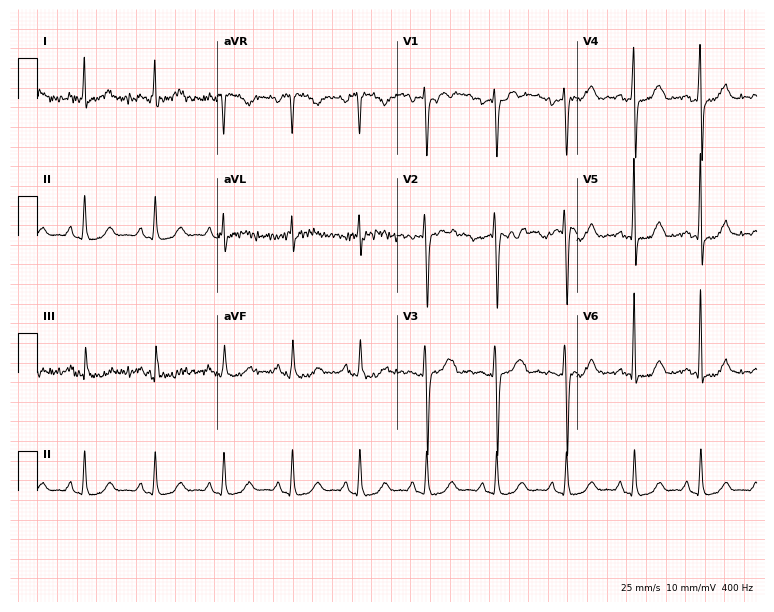
12-lead ECG (7.3-second recording at 400 Hz) from a woman, 54 years old. Labelled as a normal ECG.